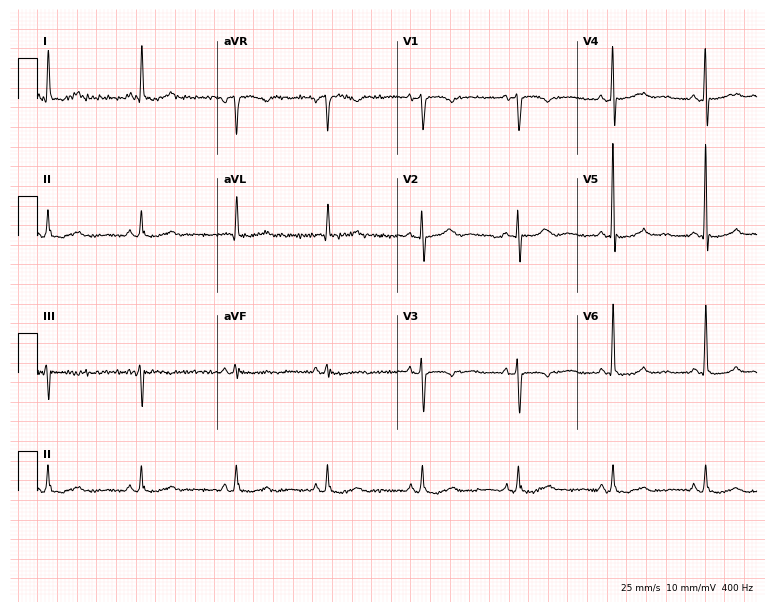
Standard 12-lead ECG recorded from a 60-year-old female patient (7.3-second recording at 400 Hz). Read as a normal ECG.